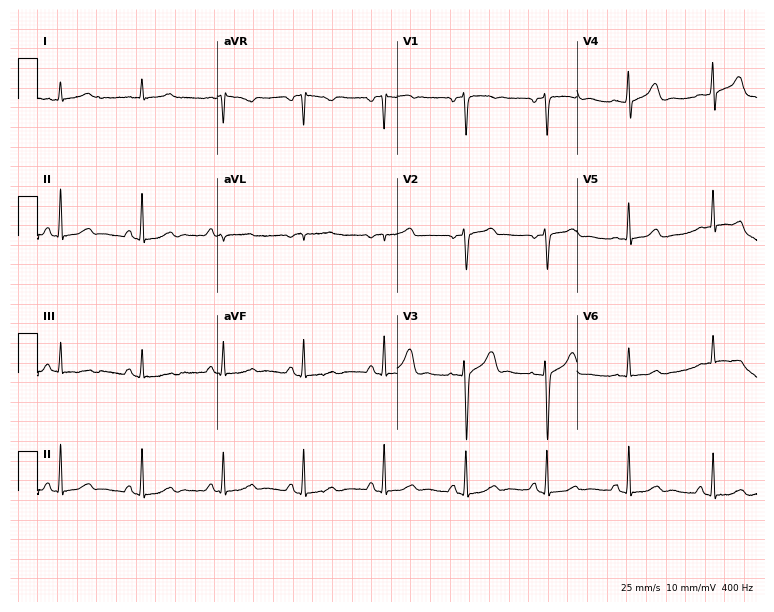
ECG — a male, 50 years old. Labelled as a normal ECG.